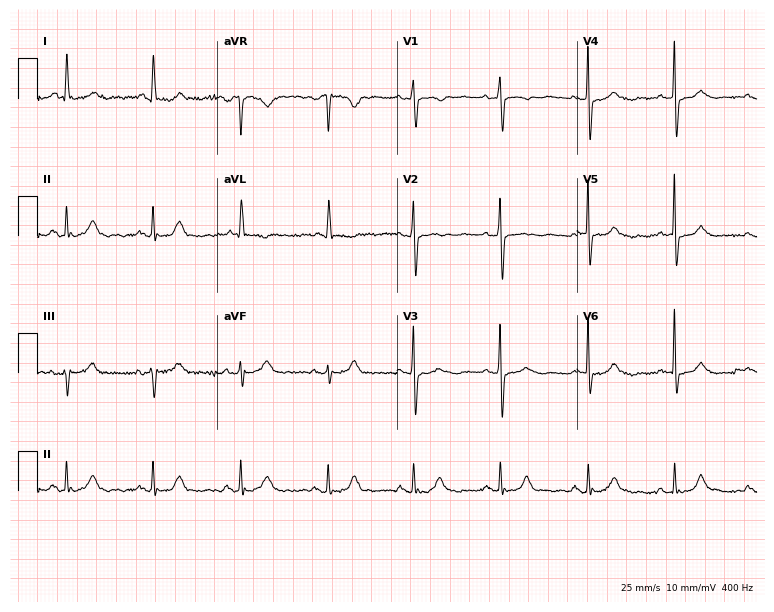
12-lead ECG from a 74-year-old woman. Screened for six findings — first-degree AV block, right bundle branch block (RBBB), left bundle branch block (LBBB), sinus bradycardia, atrial fibrillation (AF), sinus tachycardia — none is recorded. Only these six findings were labelled.